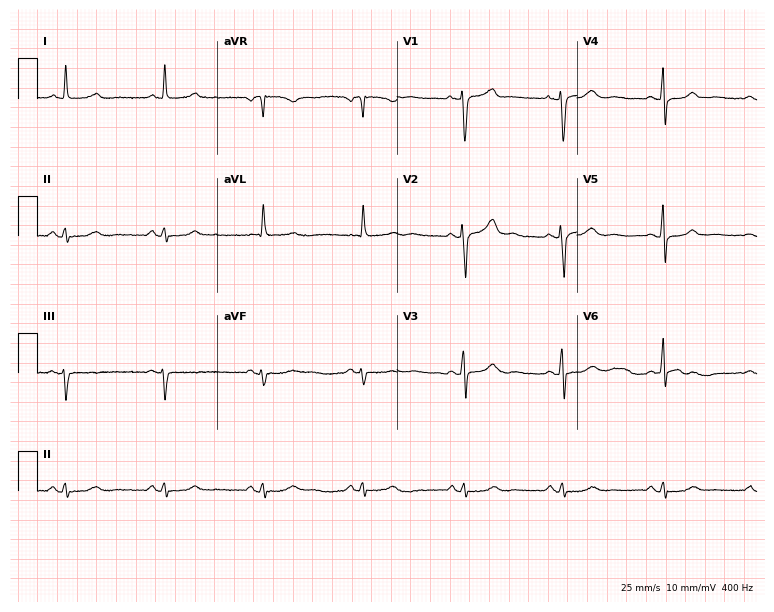
Standard 12-lead ECG recorded from a female patient, 53 years old. Read as a normal ECG.